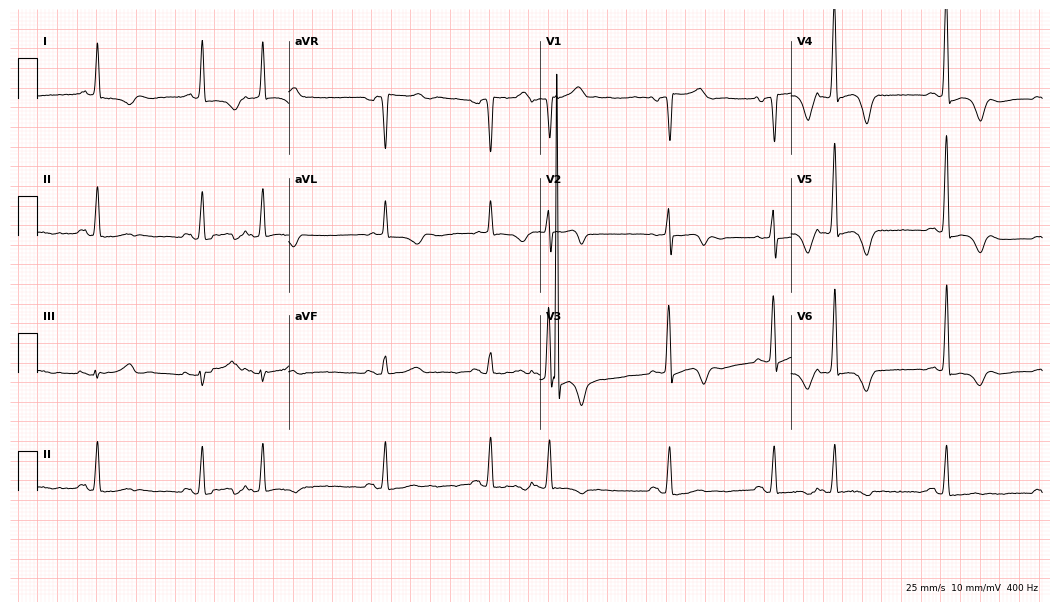
Standard 12-lead ECG recorded from an 80-year-old male (10.2-second recording at 400 Hz). None of these six findings is recorded: first-degree AV block, right bundle branch block, left bundle branch block, sinus bradycardia, atrial fibrillation, sinus tachycardia. Other findings, if any, are not listed.